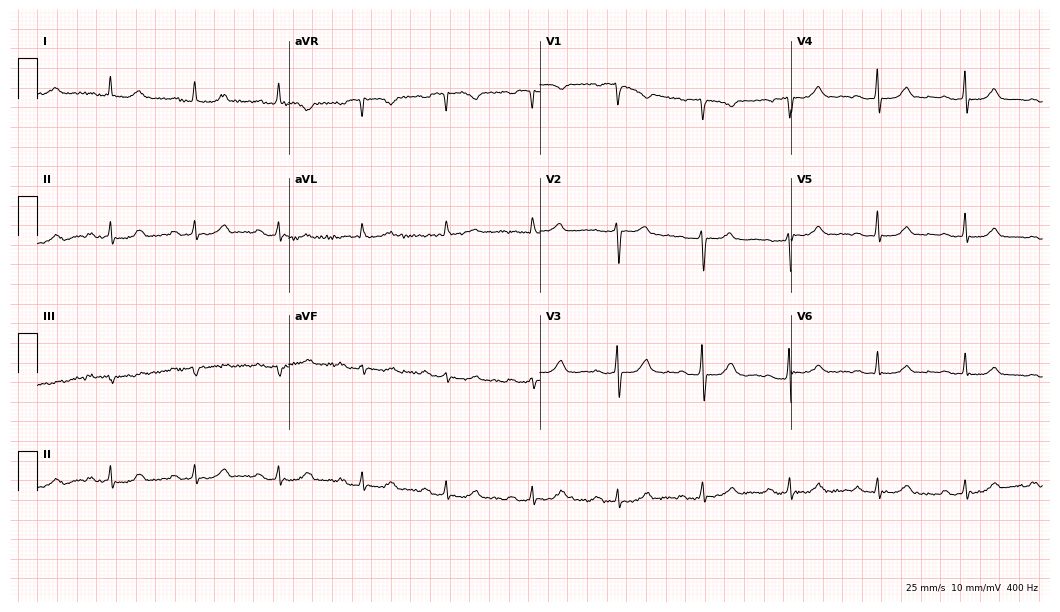
12-lead ECG from a 74-year-old female. Shows first-degree AV block.